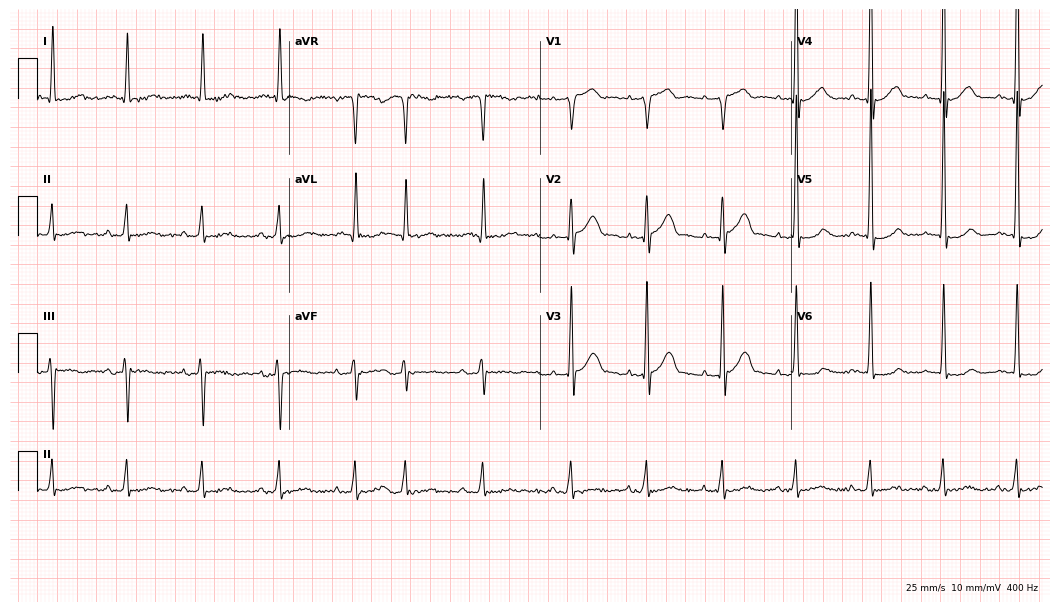
Resting 12-lead electrocardiogram. Patient: a man, 69 years old. None of these six findings is recorded: first-degree AV block, right bundle branch block, left bundle branch block, sinus bradycardia, atrial fibrillation, sinus tachycardia.